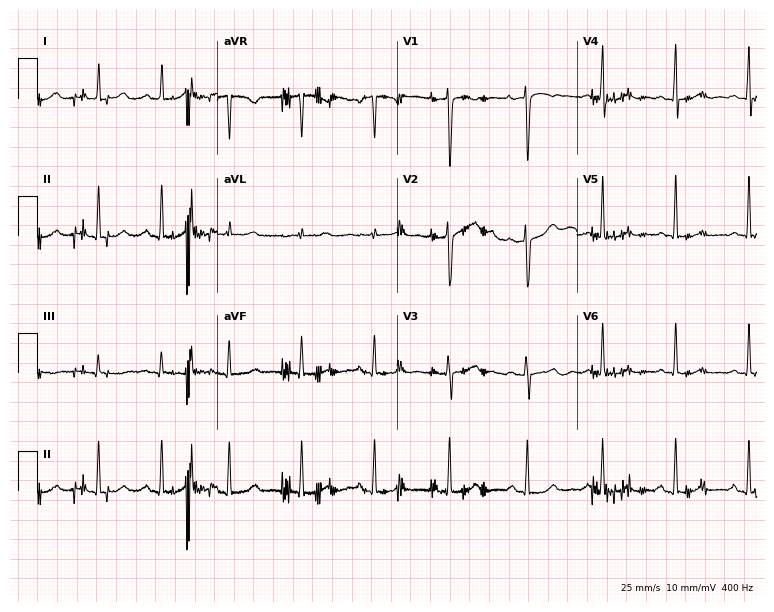
Electrocardiogram (7.3-second recording at 400 Hz), a female patient, 49 years old. Overall reading on record: normal ECG.